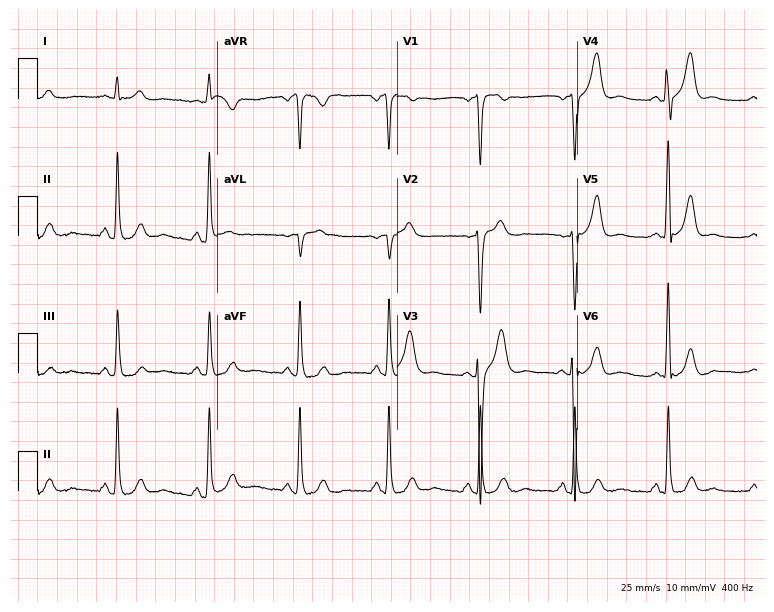
Standard 12-lead ECG recorded from a man, 58 years old. None of these six findings is recorded: first-degree AV block, right bundle branch block, left bundle branch block, sinus bradycardia, atrial fibrillation, sinus tachycardia.